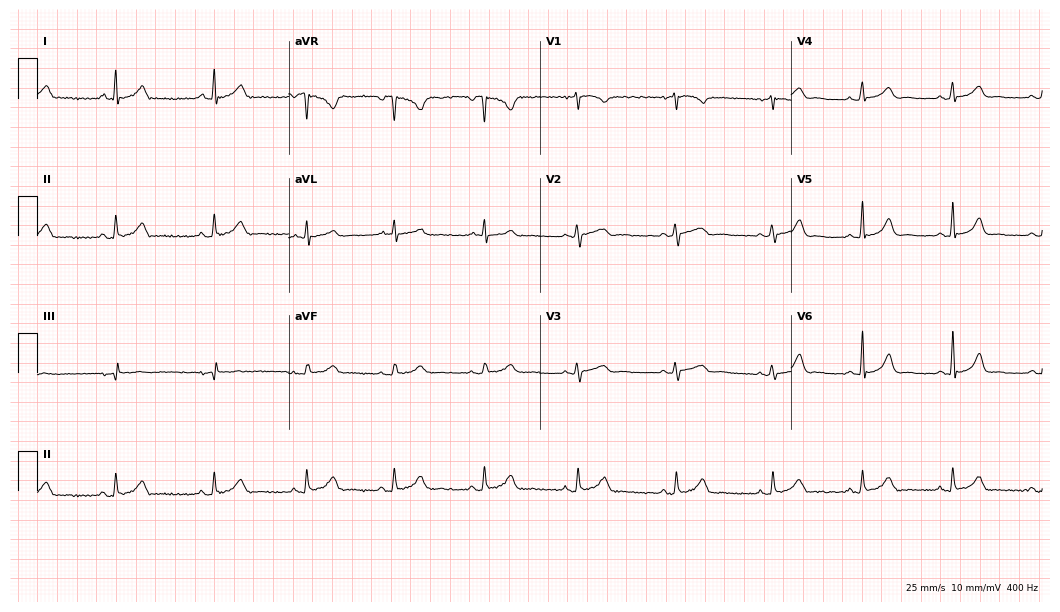
ECG (10.2-second recording at 400 Hz) — a 57-year-old female. Labelled as a normal ECG.